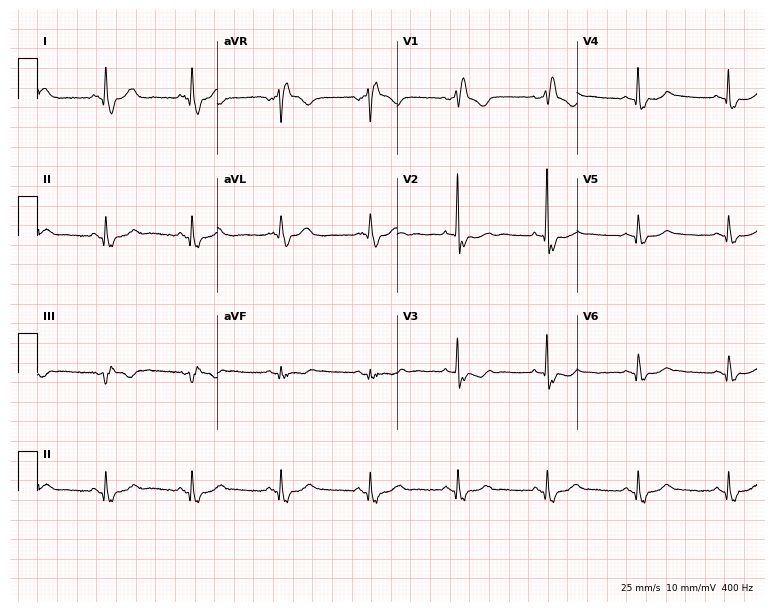
Standard 12-lead ECG recorded from an 82-year-old female patient (7.3-second recording at 400 Hz). The tracing shows right bundle branch block (RBBB).